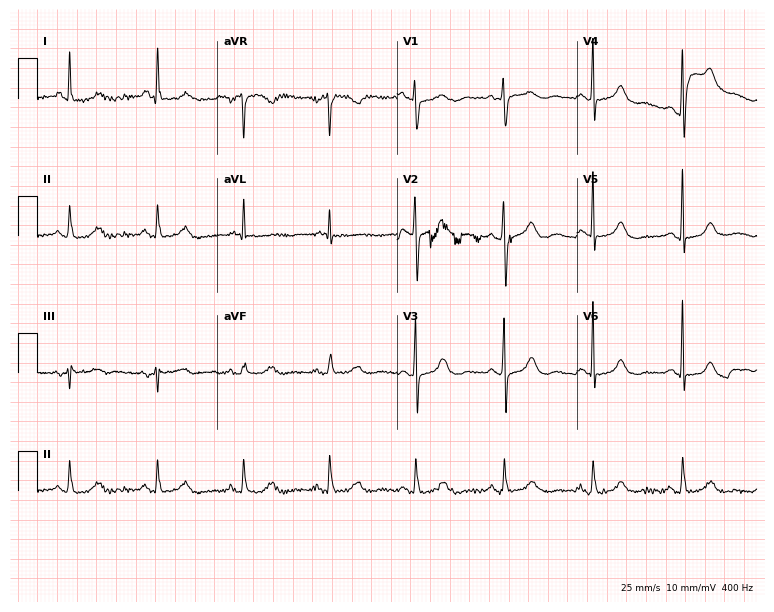
Electrocardiogram, a female patient, 71 years old. Of the six screened findings (first-degree AV block, right bundle branch block, left bundle branch block, sinus bradycardia, atrial fibrillation, sinus tachycardia), none is recorded. Only these six findings were labelled.